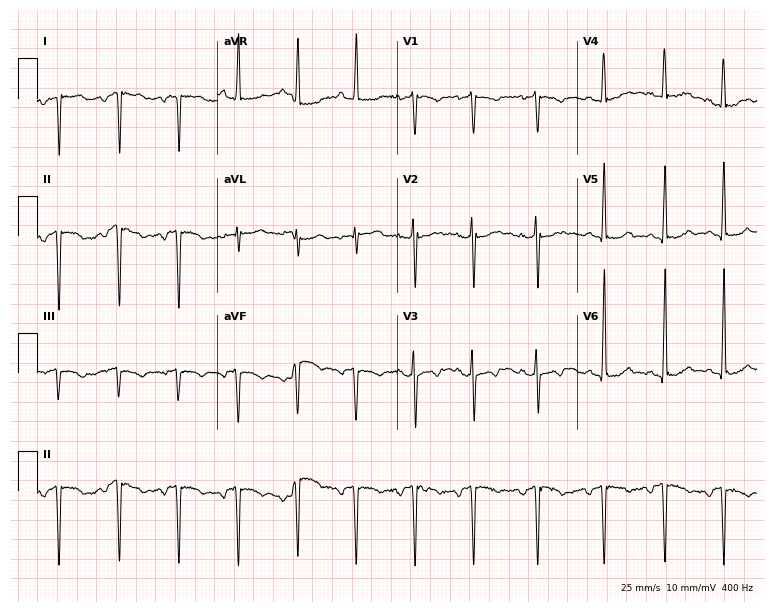
Electrocardiogram (7.3-second recording at 400 Hz), a woman, 19 years old. Of the six screened findings (first-degree AV block, right bundle branch block (RBBB), left bundle branch block (LBBB), sinus bradycardia, atrial fibrillation (AF), sinus tachycardia), none is recorded. Findings outside these six are not listed.